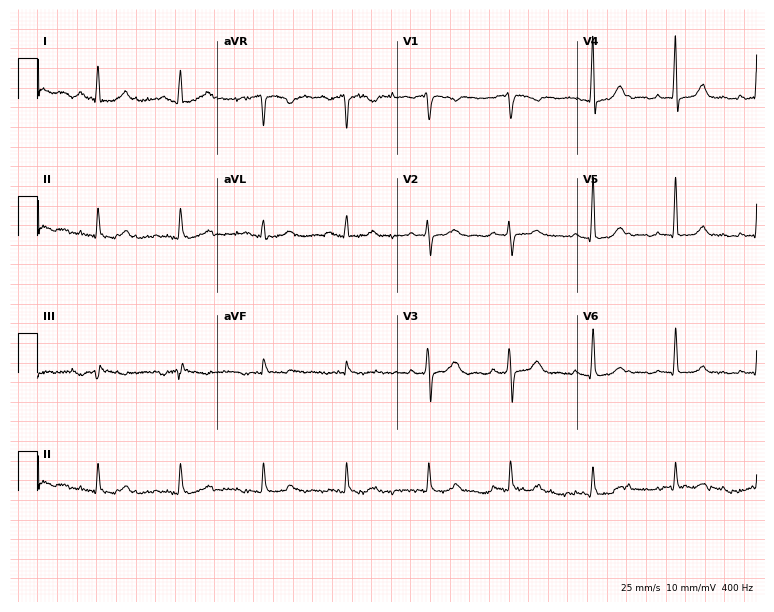
12-lead ECG (7.3-second recording at 400 Hz) from a 78-year-old male. Screened for six findings — first-degree AV block, right bundle branch block (RBBB), left bundle branch block (LBBB), sinus bradycardia, atrial fibrillation (AF), sinus tachycardia — none is recorded. Other findings, if any, are not listed.